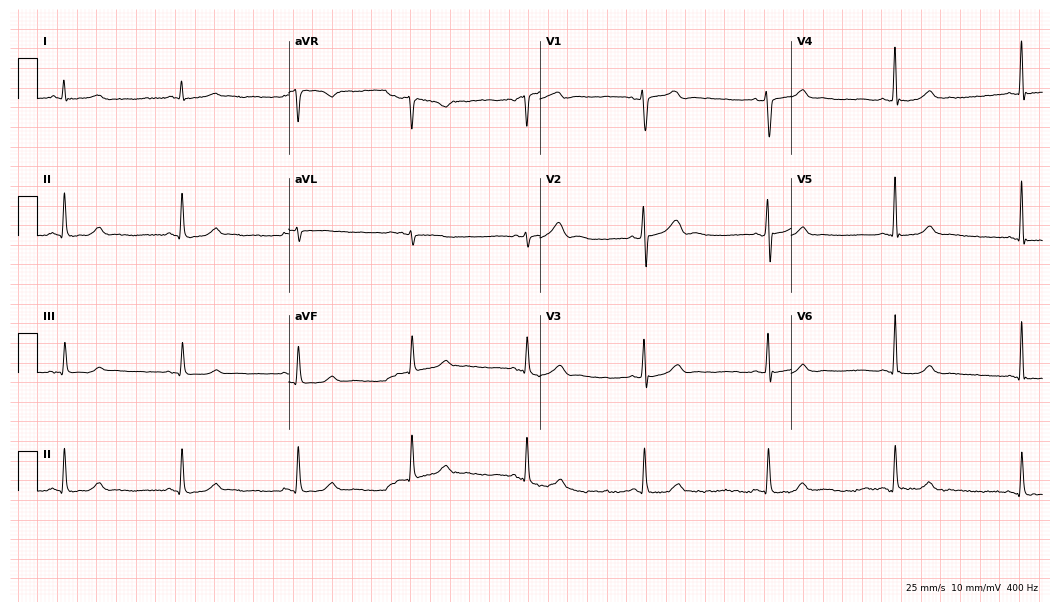
12-lead ECG from a man, 40 years old. Recorded interpretation: within normal limits.